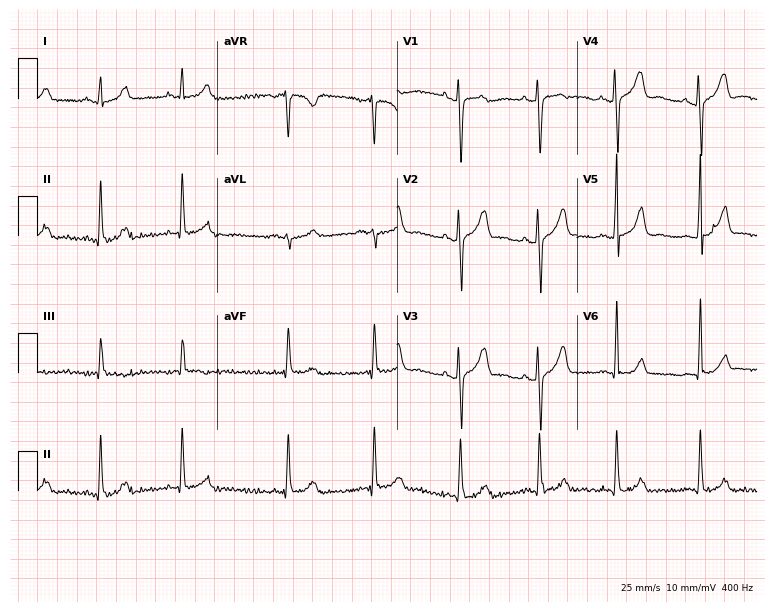
Resting 12-lead electrocardiogram (7.3-second recording at 400 Hz). Patient: a man, 23 years old. Read as a normal ECG.